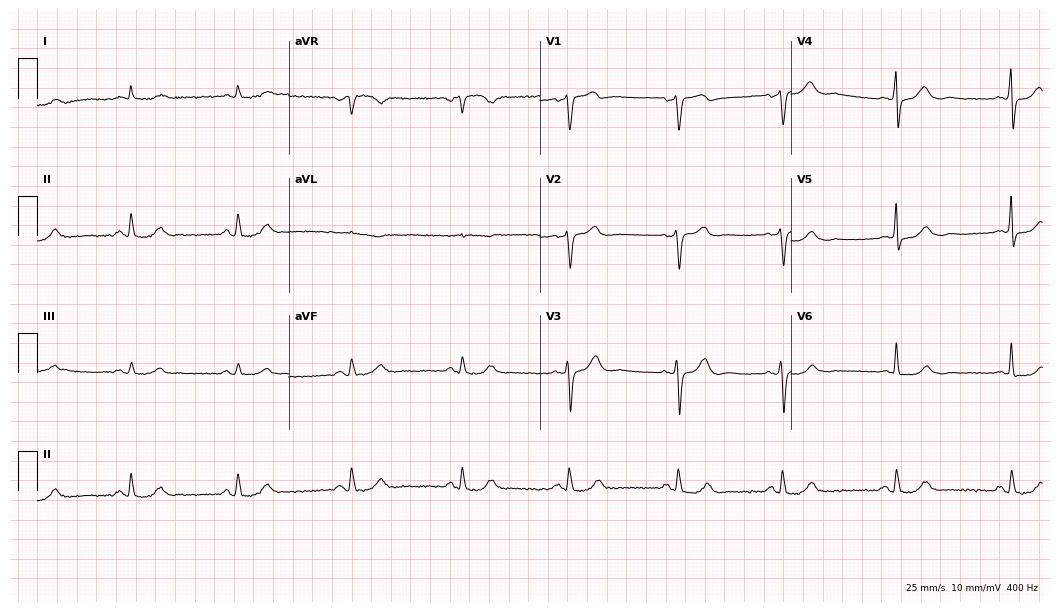
ECG (10.2-second recording at 400 Hz) — a man, 70 years old. Screened for six findings — first-degree AV block, right bundle branch block, left bundle branch block, sinus bradycardia, atrial fibrillation, sinus tachycardia — none is recorded. Only these six findings were labelled.